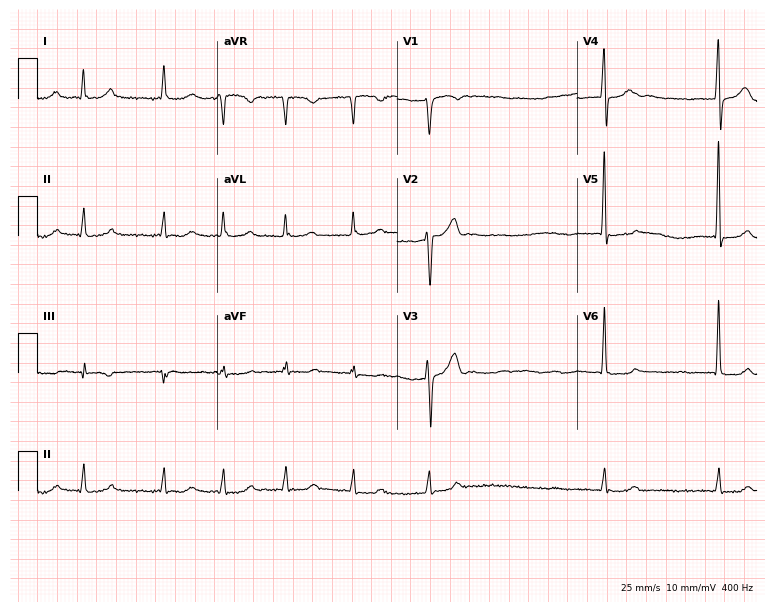
Resting 12-lead electrocardiogram (7.3-second recording at 400 Hz). Patient: a 73-year-old man. The tracing shows atrial fibrillation.